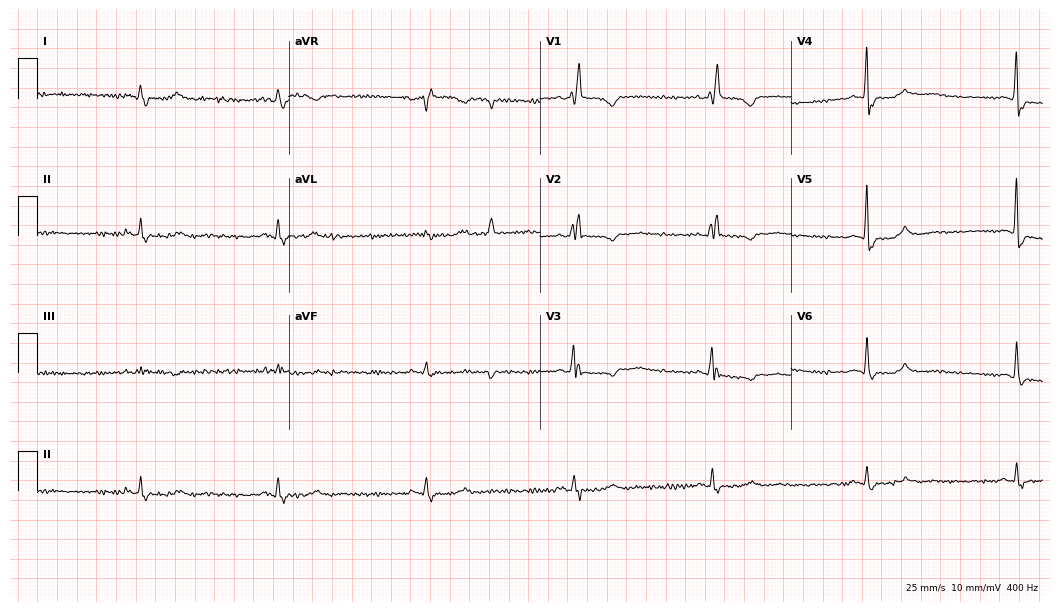
Resting 12-lead electrocardiogram (10.2-second recording at 400 Hz). Patient: a 65-year-old female. None of these six findings is recorded: first-degree AV block, right bundle branch block, left bundle branch block, sinus bradycardia, atrial fibrillation, sinus tachycardia. Other findings, if any, are not listed.